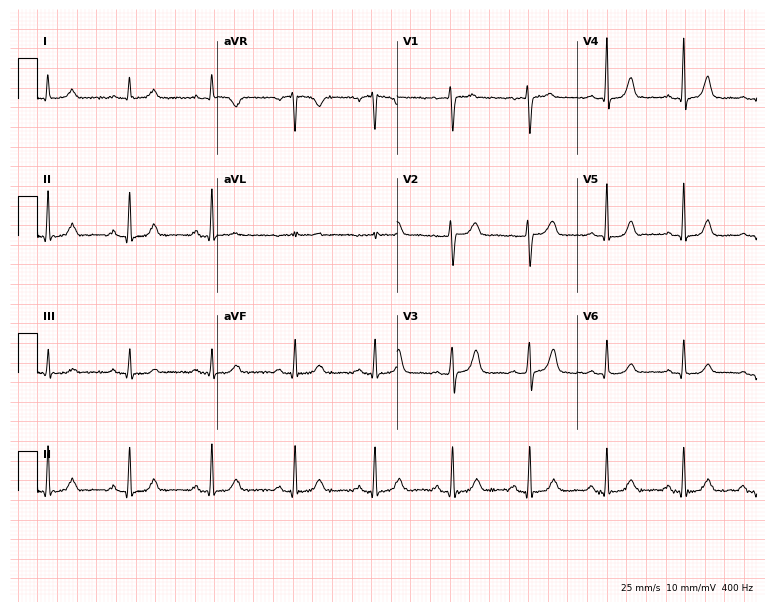
ECG (7.3-second recording at 400 Hz) — a 44-year-old female. Screened for six findings — first-degree AV block, right bundle branch block, left bundle branch block, sinus bradycardia, atrial fibrillation, sinus tachycardia — none is recorded.